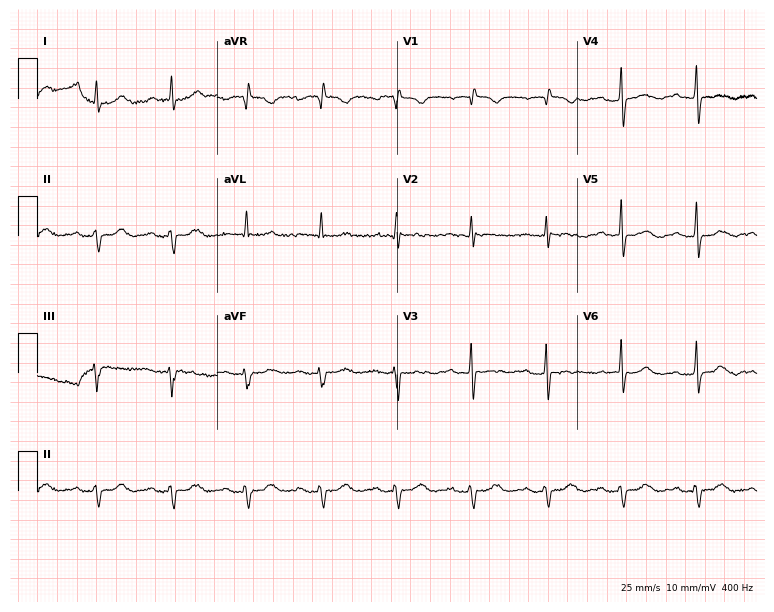
Electrocardiogram (7.3-second recording at 400 Hz), a 72-year-old female. Of the six screened findings (first-degree AV block, right bundle branch block (RBBB), left bundle branch block (LBBB), sinus bradycardia, atrial fibrillation (AF), sinus tachycardia), none is recorded.